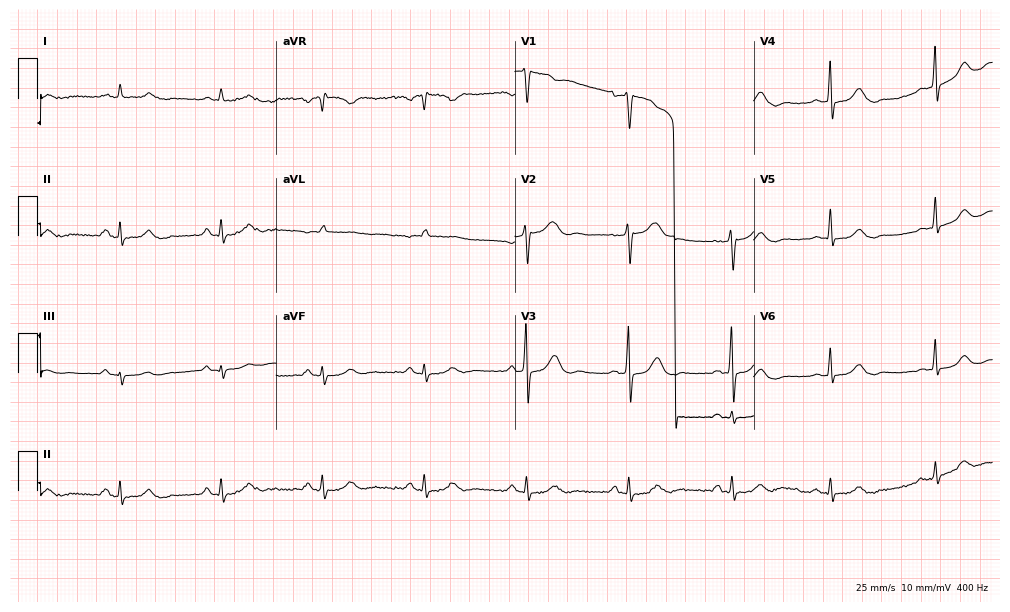
Resting 12-lead electrocardiogram. Patient: a man, 71 years old. Read as a normal ECG.